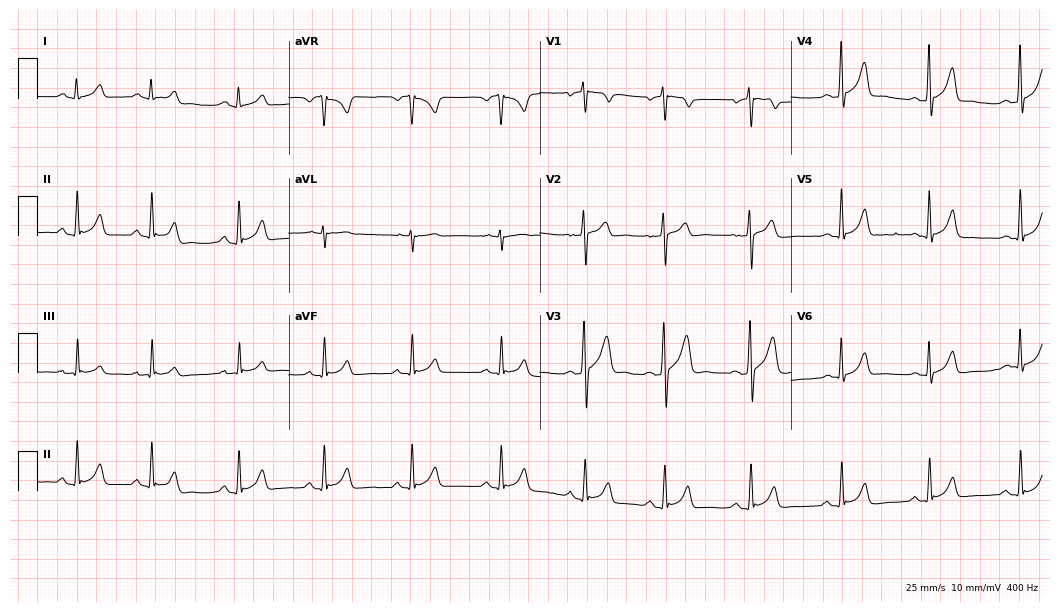
12-lead ECG from a 22-year-old man. No first-degree AV block, right bundle branch block, left bundle branch block, sinus bradycardia, atrial fibrillation or sinus tachycardia recorded for this tracing.